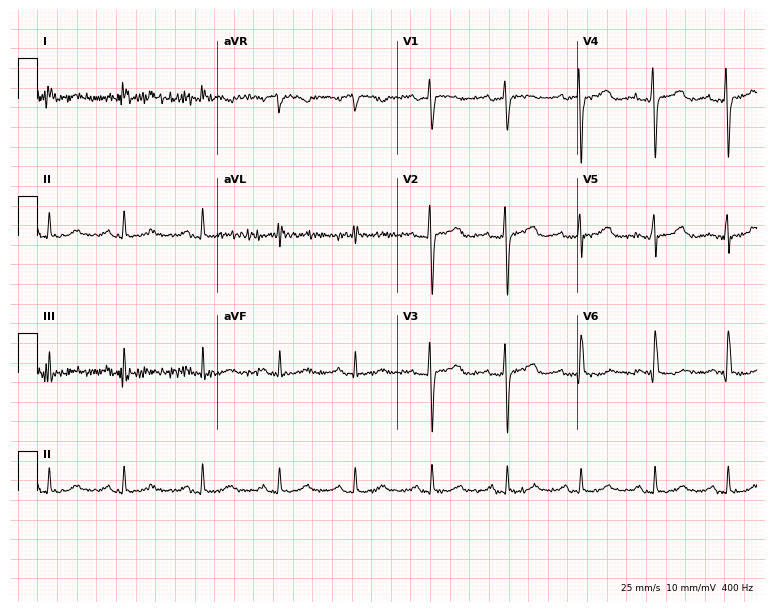
Electrocardiogram, a 75-year-old woman. Of the six screened findings (first-degree AV block, right bundle branch block, left bundle branch block, sinus bradycardia, atrial fibrillation, sinus tachycardia), none is recorded.